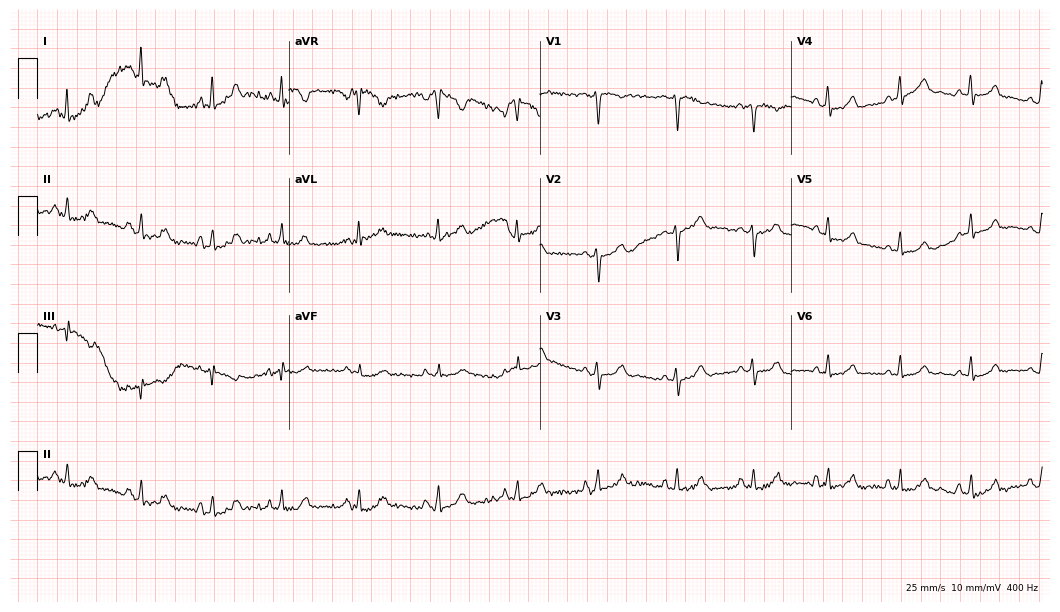
Standard 12-lead ECG recorded from a 38-year-old woman (10.2-second recording at 400 Hz). Read as a normal ECG.